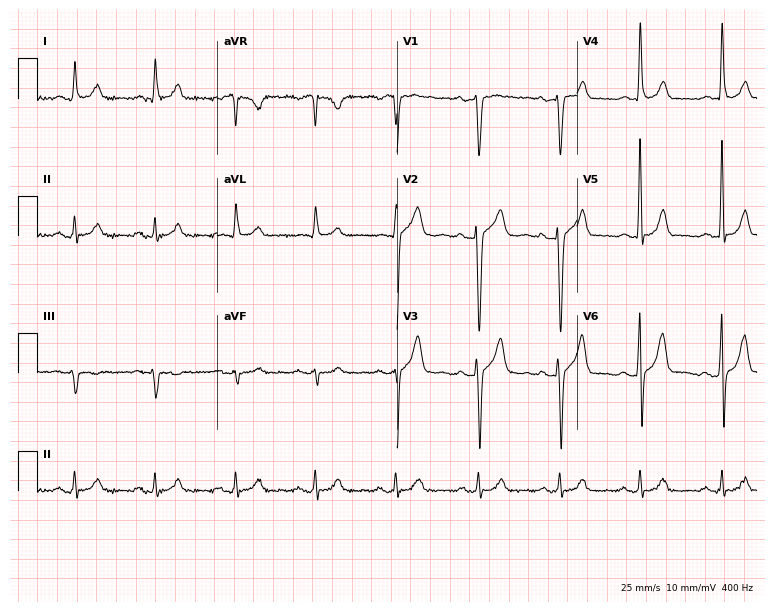
Electrocardiogram (7.3-second recording at 400 Hz), a 53-year-old man. Of the six screened findings (first-degree AV block, right bundle branch block, left bundle branch block, sinus bradycardia, atrial fibrillation, sinus tachycardia), none is recorded. Findings outside these six are not listed.